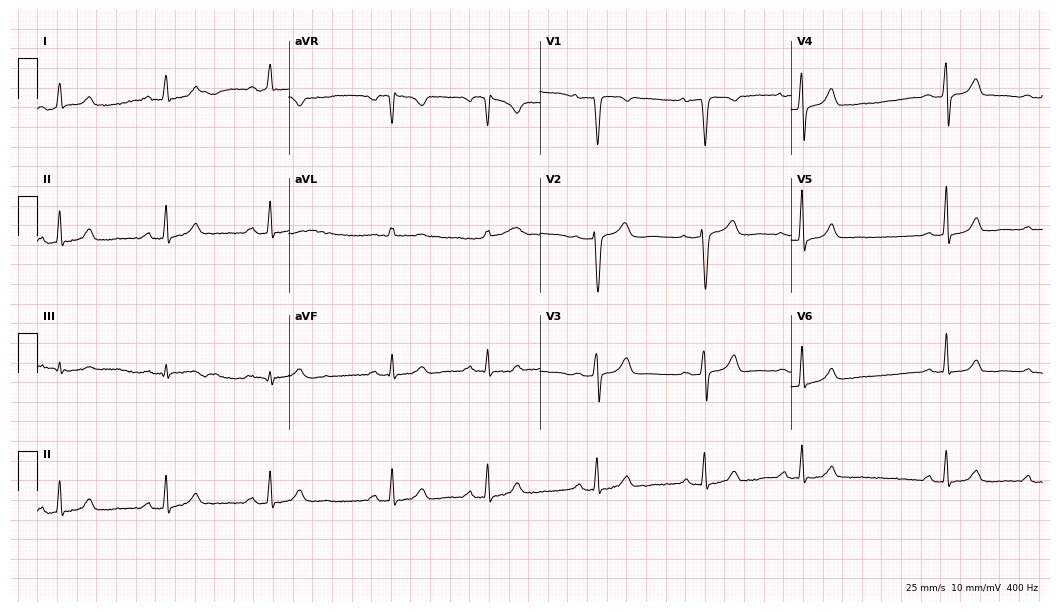
12-lead ECG (10.2-second recording at 400 Hz) from a female patient, 44 years old. Labelled as a normal ECG.